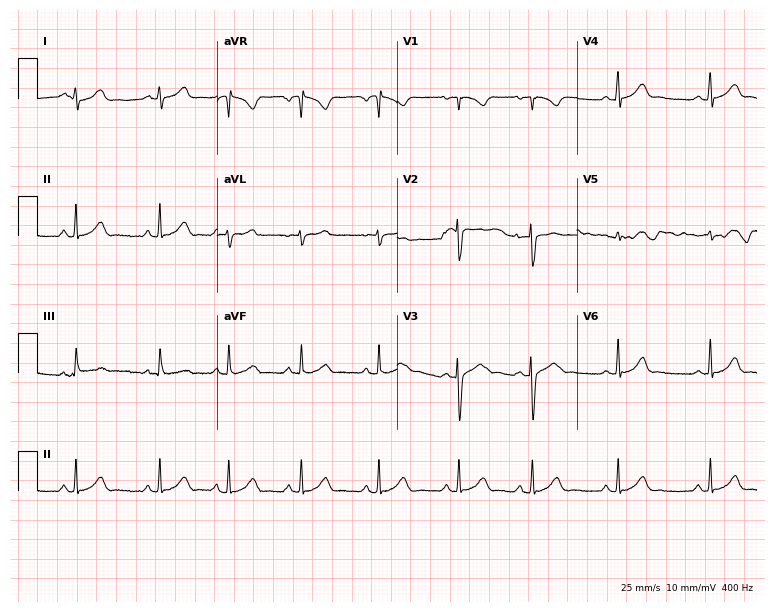
Electrocardiogram (7.3-second recording at 400 Hz), a 17-year-old female. Of the six screened findings (first-degree AV block, right bundle branch block, left bundle branch block, sinus bradycardia, atrial fibrillation, sinus tachycardia), none is recorded.